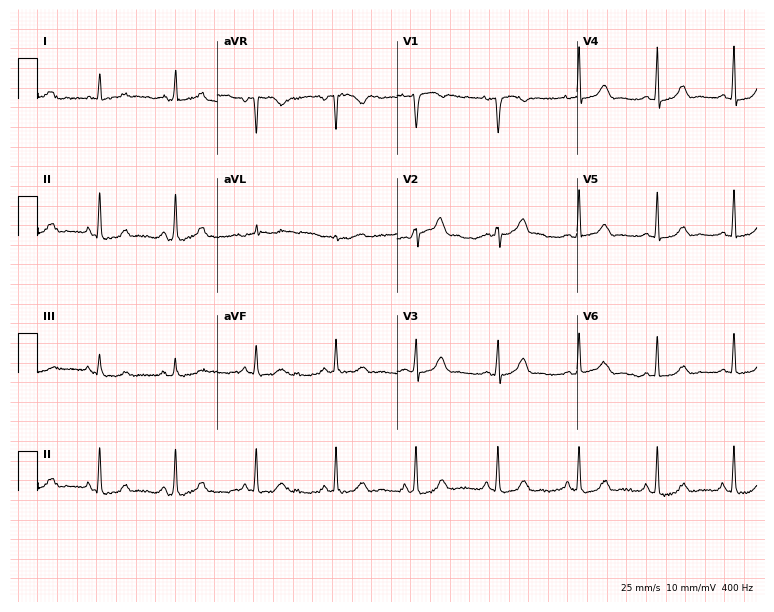
12-lead ECG from a 47-year-old woman (7.3-second recording at 400 Hz). No first-degree AV block, right bundle branch block, left bundle branch block, sinus bradycardia, atrial fibrillation or sinus tachycardia recorded for this tracing. Other findings, if any, are not listed.